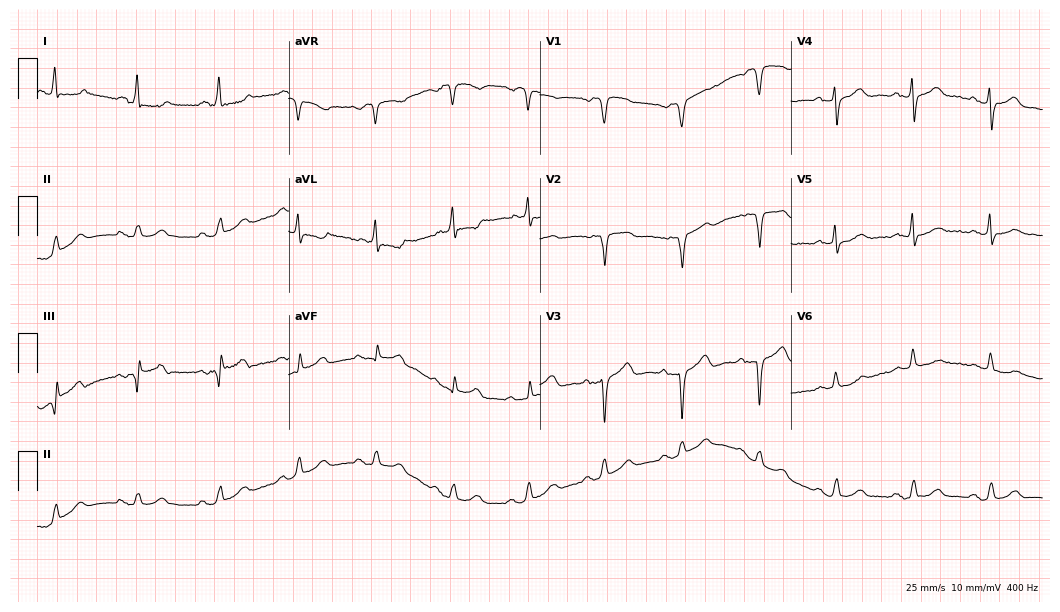
12-lead ECG (10.2-second recording at 400 Hz) from a male patient, 73 years old. Screened for six findings — first-degree AV block, right bundle branch block, left bundle branch block, sinus bradycardia, atrial fibrillation, sinus tachycardia — none is recorded.